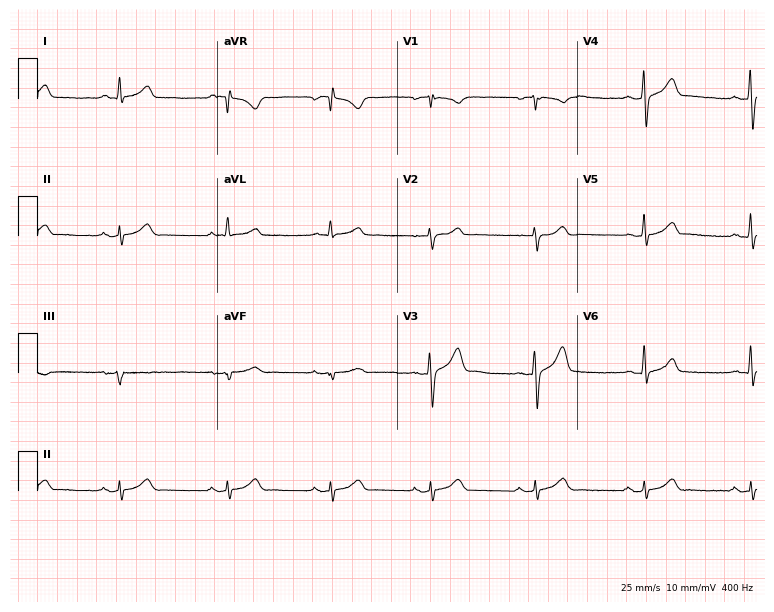
Electrocardiogram, a 50-year-old man. Overall reading on record: normal ECG.